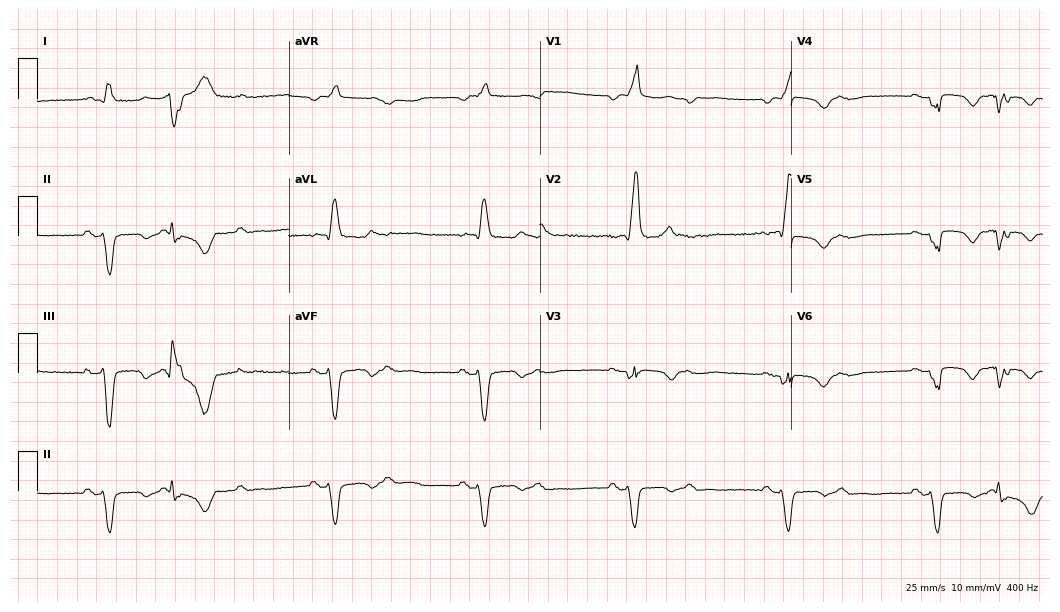
Resting 12-lead electrocardiogram (10.2-second recording at 400 Hz). Patient: a male, 79 years old. None of these six findings is recorded: first-degree AV block, right bundle branch block, left bundle branch block, sinus bradycardia, atrial fibrillation, sinus tachycardia. Findings outside these six are not listed.